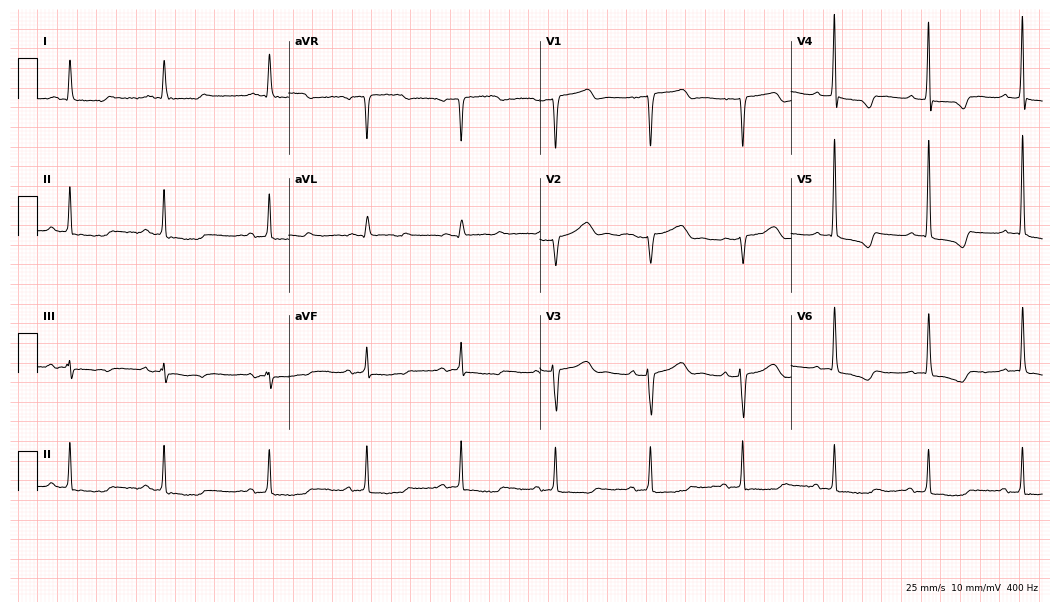
12-lead ECG from a female, 65 years old (10.2-second recording at 400 Hz). No first-degree AV block, right bundle branch block, left bundle branch block, sinus bradycardia, atrial fibrillation or sinus tachycardia recorded for this tracing.